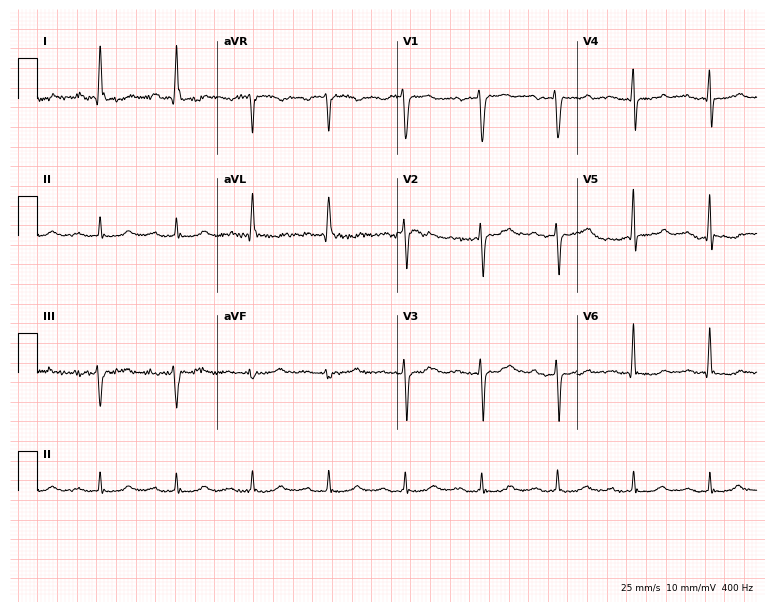
12-lead ECG (7.3-second recording at 400 Hz) from a 69-year-old man. Findings include first-degree AV block.